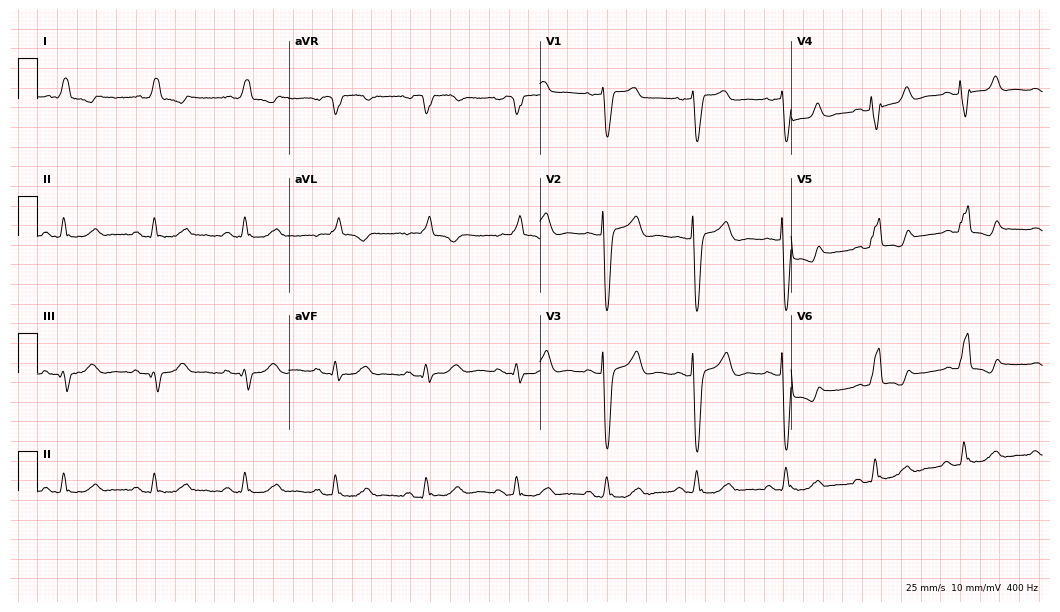
Electrocardiogram (10.2-second recording at 400 Hz), a woman, 77 years old. Interpretation includes left bundle branch block.